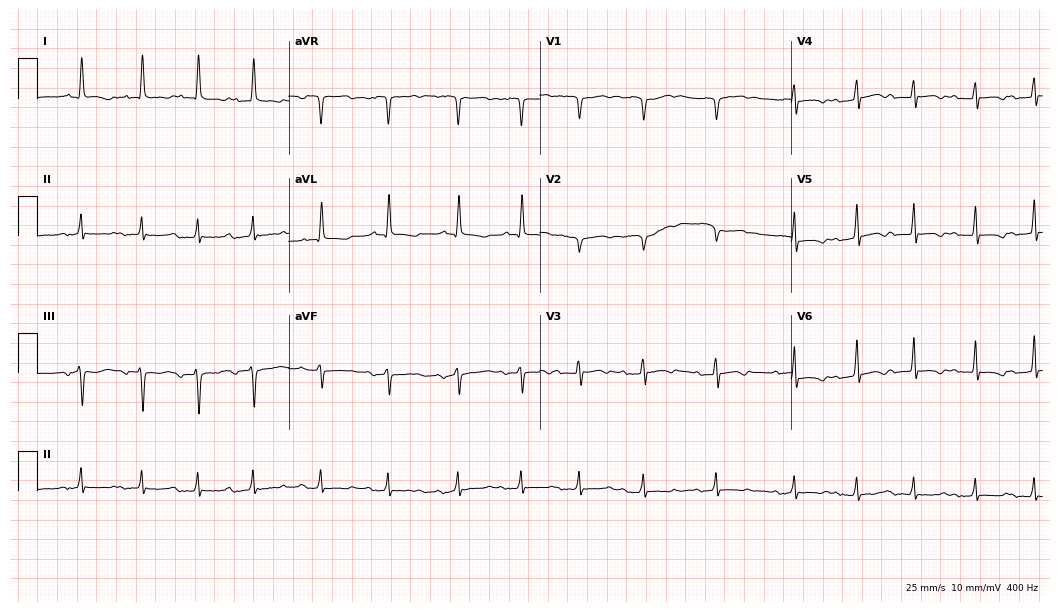
Standard 12-lead ECG recorded from a 35-year-old woman. None of these six findings is recorded: first-degree AV block, right bundle branch block, left bundle branch block, sinus bradycardia, atrial fibrillation, sinus tachycardia.